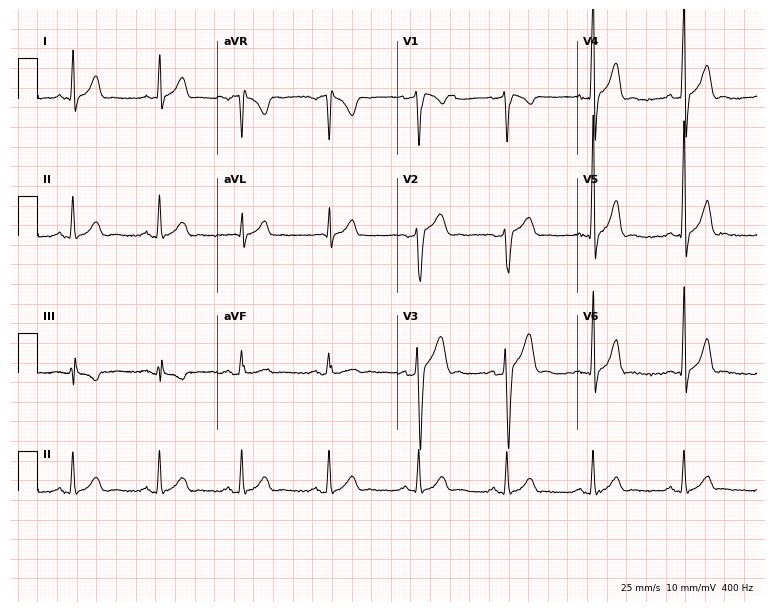
Resting 12-lead electrocardiogram (7.3-second recording at 400 Hz). Patient: a 36-year-old male. None of these six findings is recorded: first-degree AV block, right bundle branch block, left bundle branch block, sinus bradycardia, atrial fibrillation, sinus tachycardia. Findings outside these six are not listed.